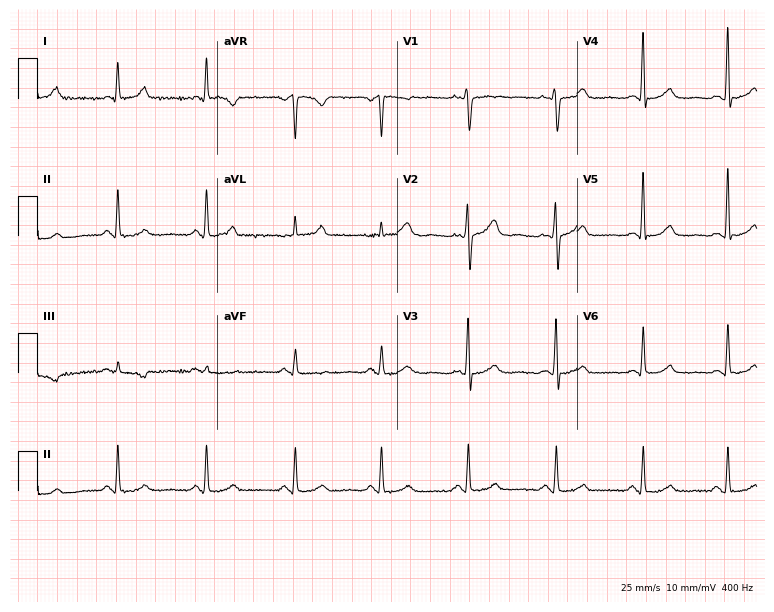
Resting 12-lead electrocardiogram. Patient: a woman, 52 years old. Read as a normal ECG.